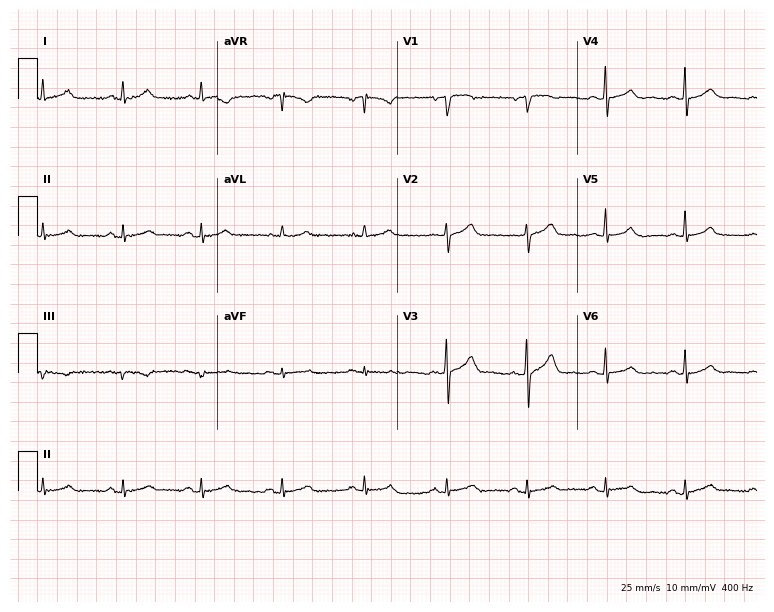
Resting 12-lead electrocardiogram (7.3-second recording at 400 Hz). Patient: a 52-year-old male. Read as a normal ECG.